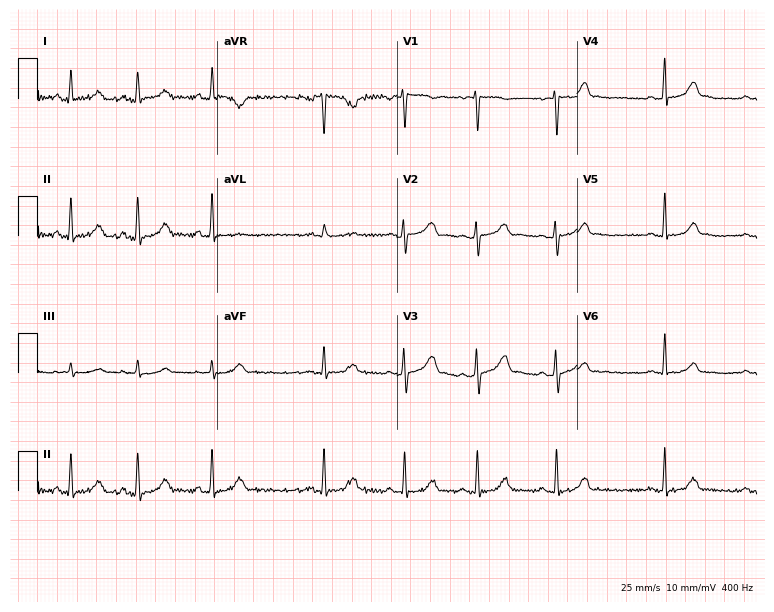
Standard 12-lead ECG recorded from a 21-year-old female patient (7.3-second recording at 400 Hz). Read as a normal ECG.